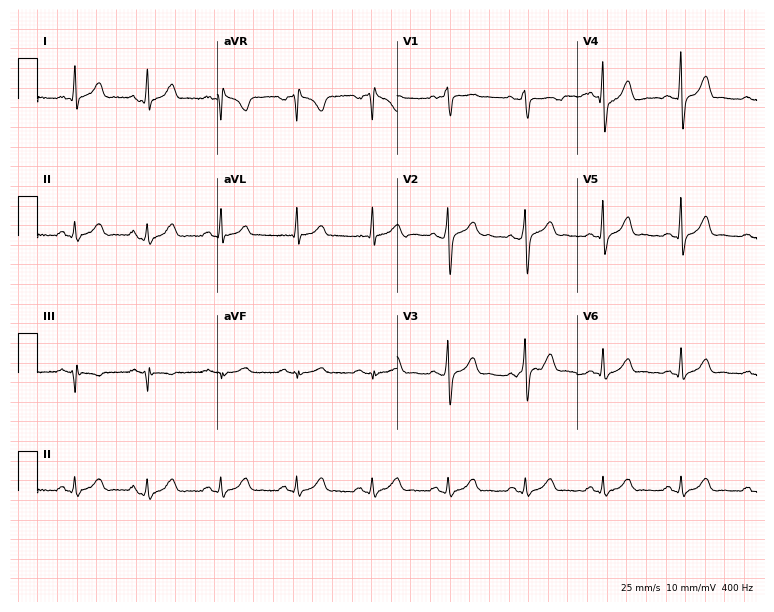
ECG (7.3-second recording at 400 Hz) — a 38-year-old male. Labelled as a normal ECG.